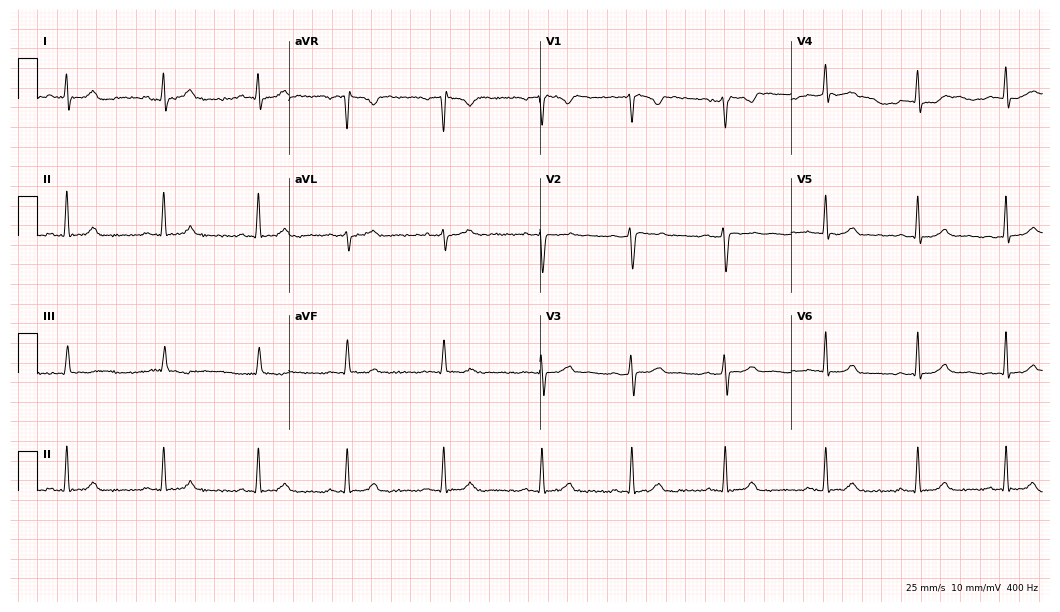
Resting 12-lead electrocardiogram (10.2-second recording at 400 Hz). Patient: a 31-year-old woman. Read as a normal ECG.